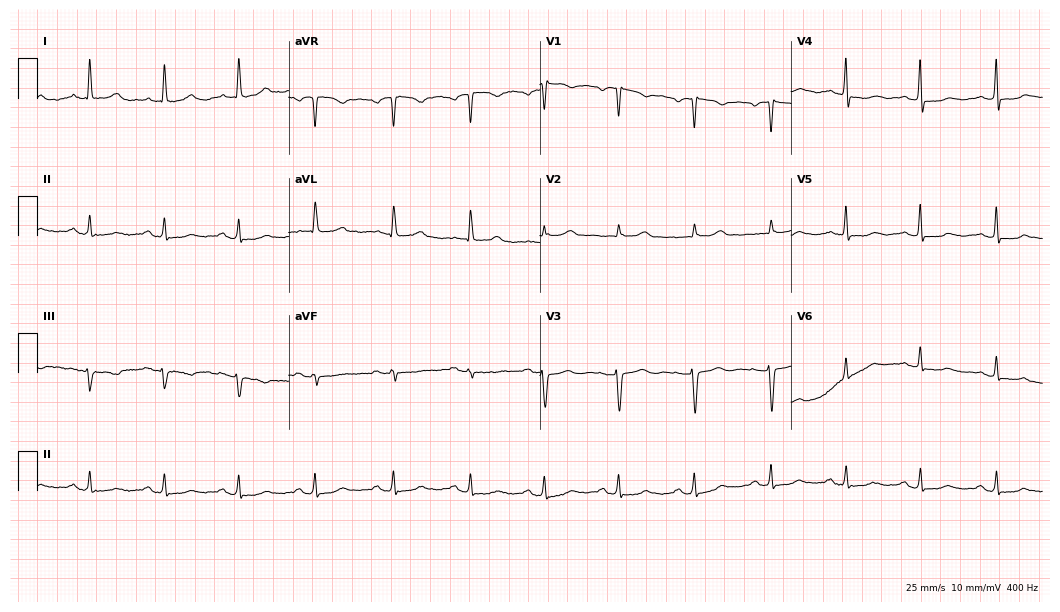
ECG — a 71-year-old woman. Labelled as a normal ECG.